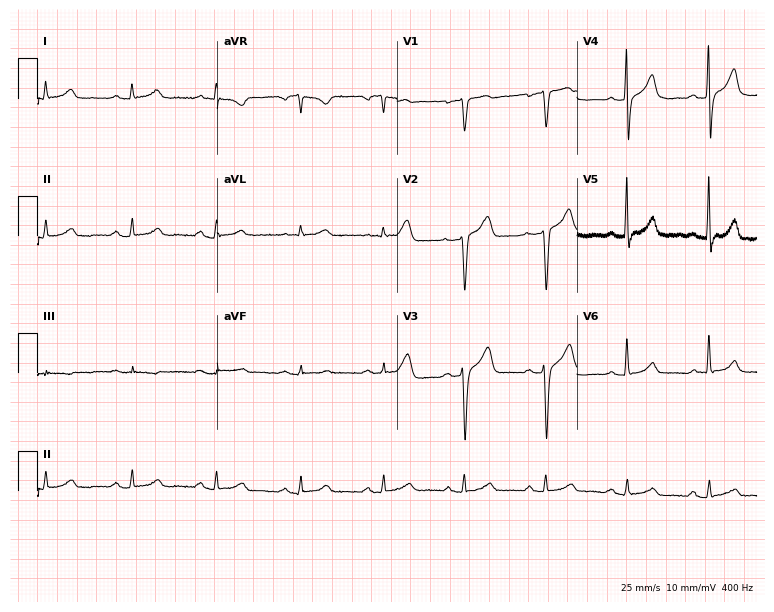
Resting 12-lead electrocardiogram. Patient: a man, 53 years old. Read as a normal ECG.